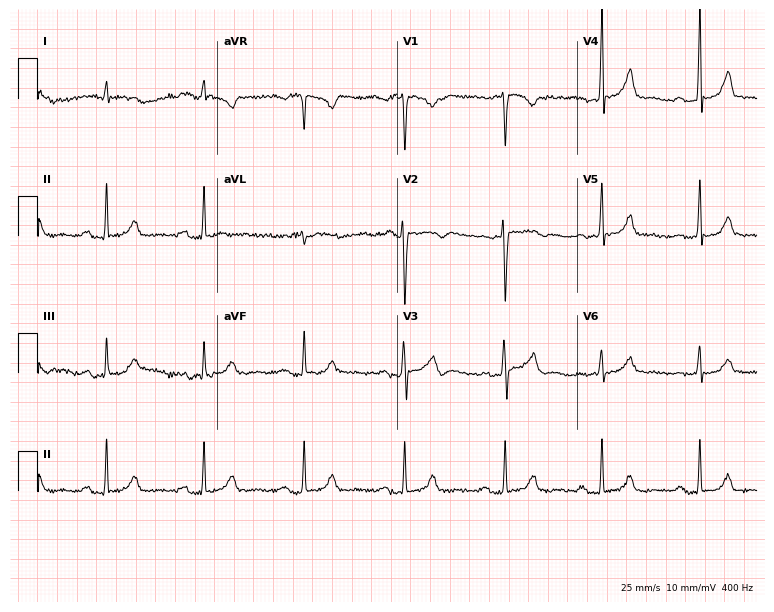
12-lead ECG (7.3-second recording at 400 Hz) from a 52-year-old female patient. Screened for six findings — first-degree AV block, right bundle branch block (RBBB), left bundle branch block (LBBB), sinus bradycardia, atrial fibrillation (AF), sinus tachycardia — none is recorded. Findings outside these six are not listed.